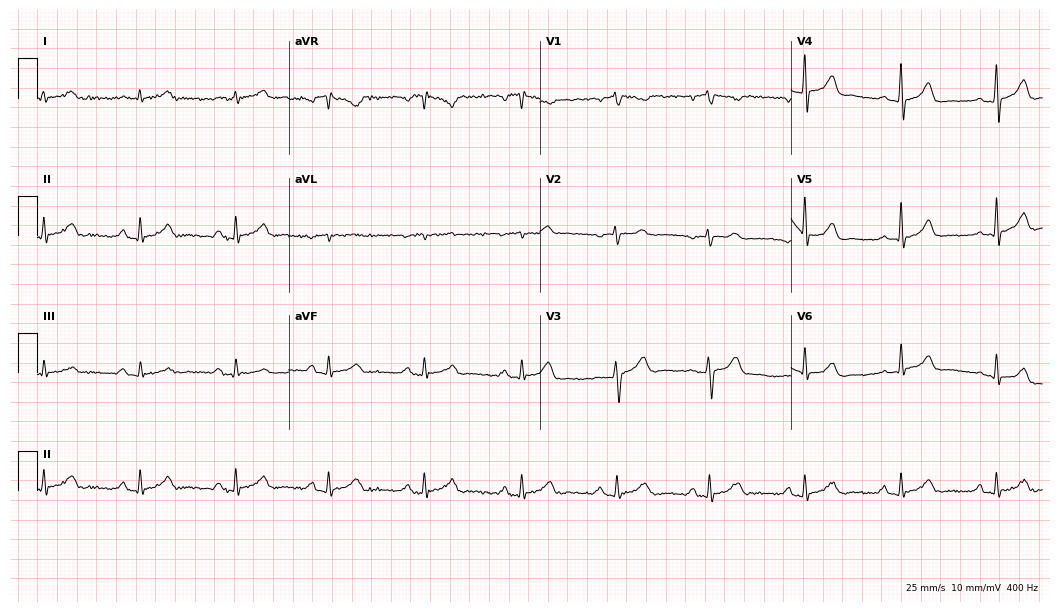
Standard 12-lead ECG recorded from a 63-year-old female (10.2-second recording at 400 Hz). Read as a normal ECG.